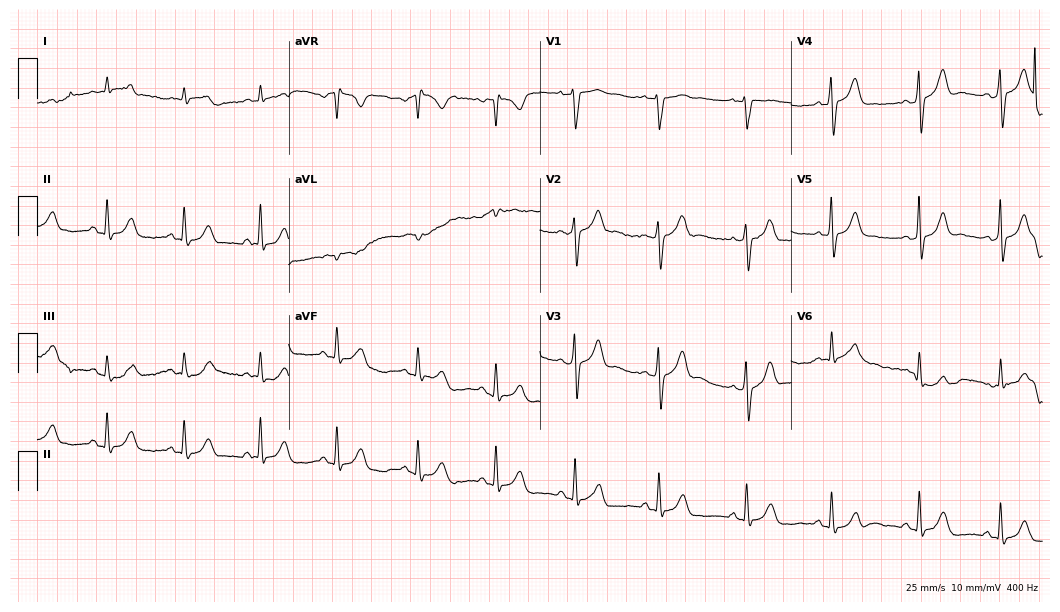
Electrocardiogram, a man, 52 years old. Of the six screened findings (first-degree AV block, right bundle branch block (RBBB), left bundle branch block (LBBB), sinus bradycardia, atrial fibrillation (AF), sinus tachycardia), none is recorded. Only these six findings were labelled.